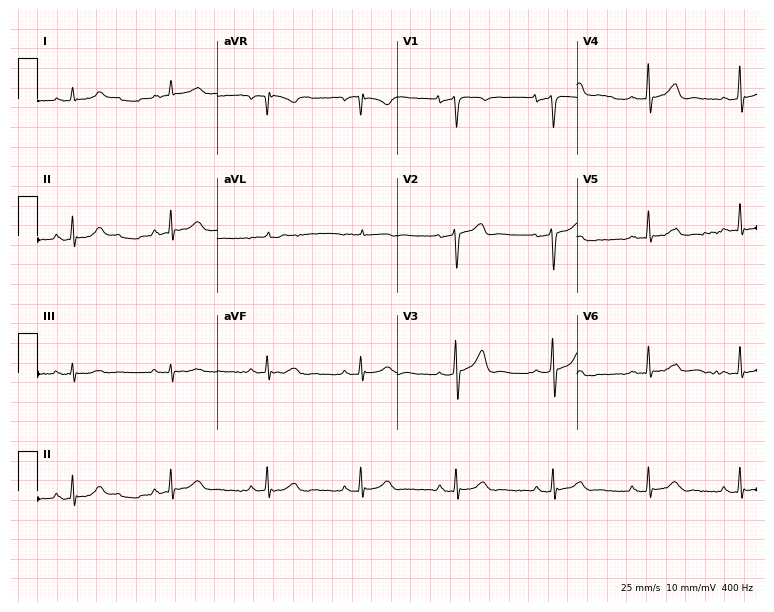
12-lead ECG (7.3-second recording at 400 Hz) from a 58-year-old man. Screened for six findings — first-degree AV block, right bundle branch block, left bundle branch block, sinus bradycardia, atrial fibrillation, sinus tachycardia — none is recorded.